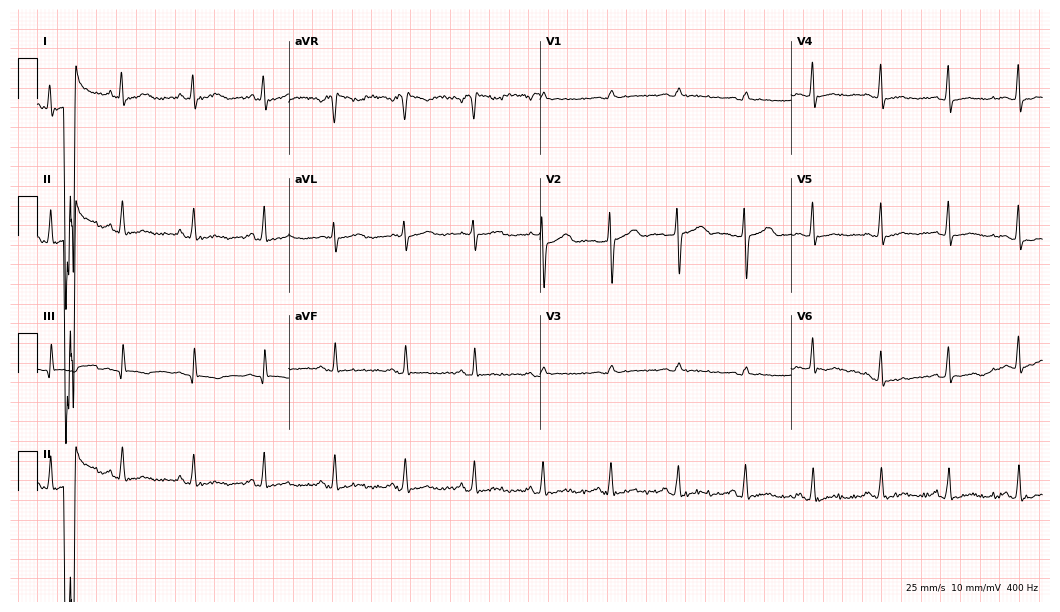
Standard 12-lead ECG recorded from a 43-year-old female. None of these six findings is recorded: first-degree AV block, right bundle branch block, left bundle branch block, sinus bradycardia, atrial fibrillation, sinus tachycardia. Findings outside these six are not listed.